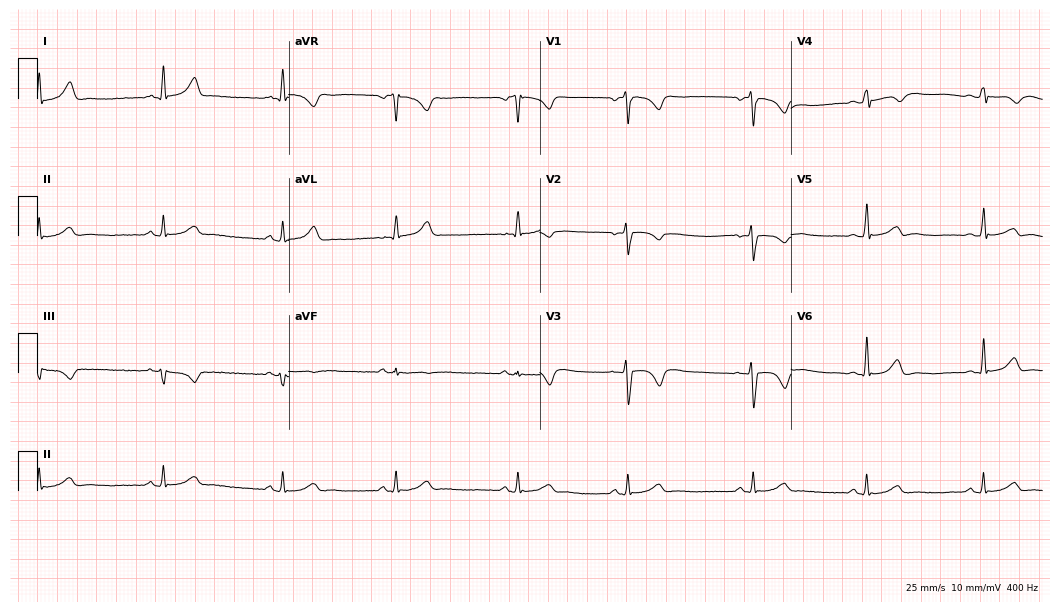
ECG — a 19-year-old woman. Findings include sinus bradycardia (a sinus rate of 50 beats per minute or less).